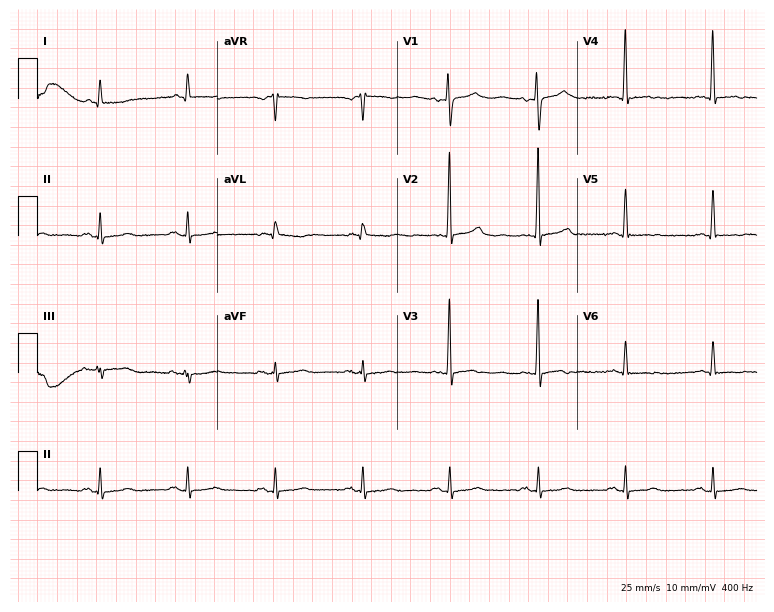
Resting 12-lead electrocardiogram (7.3-second recording at 400 Hz). Patient: a woman, 71 years old. None of these six findings is recorded: first-degree AV block, right bundle branch block, left bundle branch block, sinus bradycardia, atrial fibrillation, sinus tachycardia.